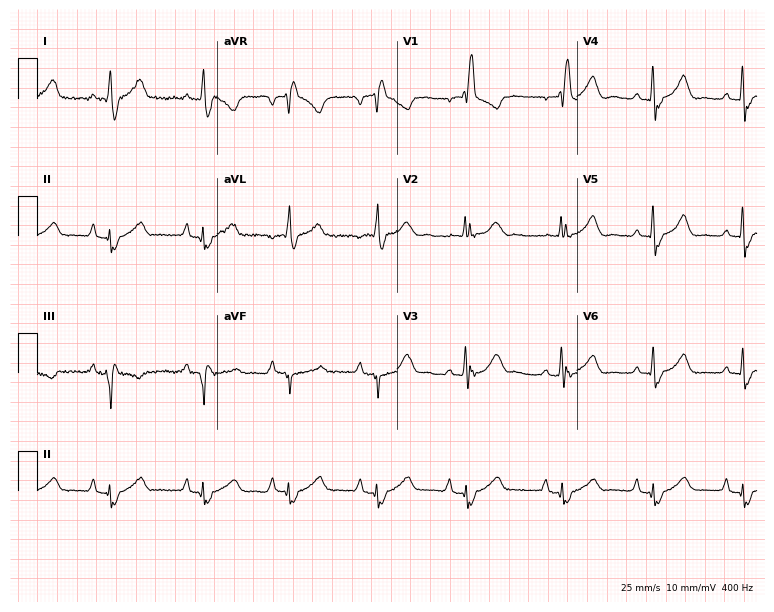
12-lead ECG (7.3-second recording at 400 Hz) from a woman, 74 years old. Screened for six findings — first-degree AV block, right bundle branch block, left bundle branch block, sinus bradycardia, atrial fibrillation, sinus tachycardia — none is recorded. Other findings, if any, are not listed.